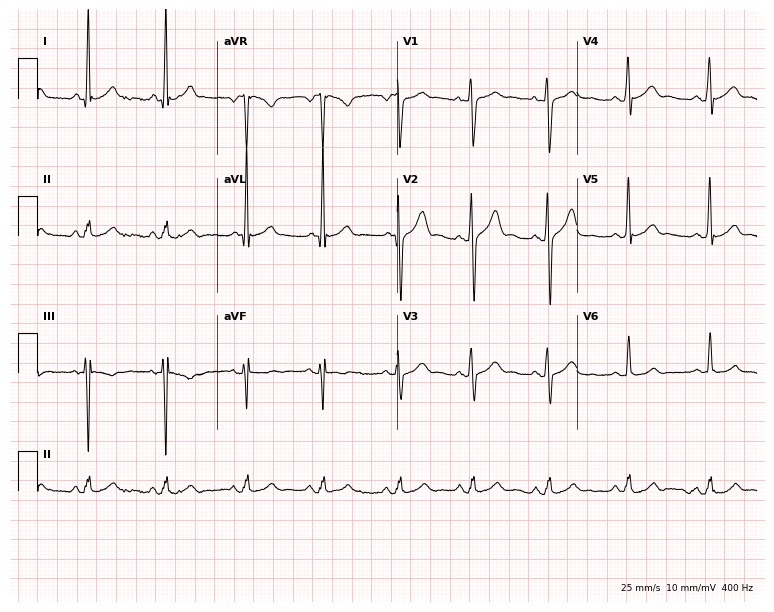
12-lead ECG from a 22-year-old male patient. Screened for six findings — first-degree AV block, right bundle branch block, left bundle branch block, sinus bradycardia, atrial fibrillation, sinus tachycardia — none is recorded.